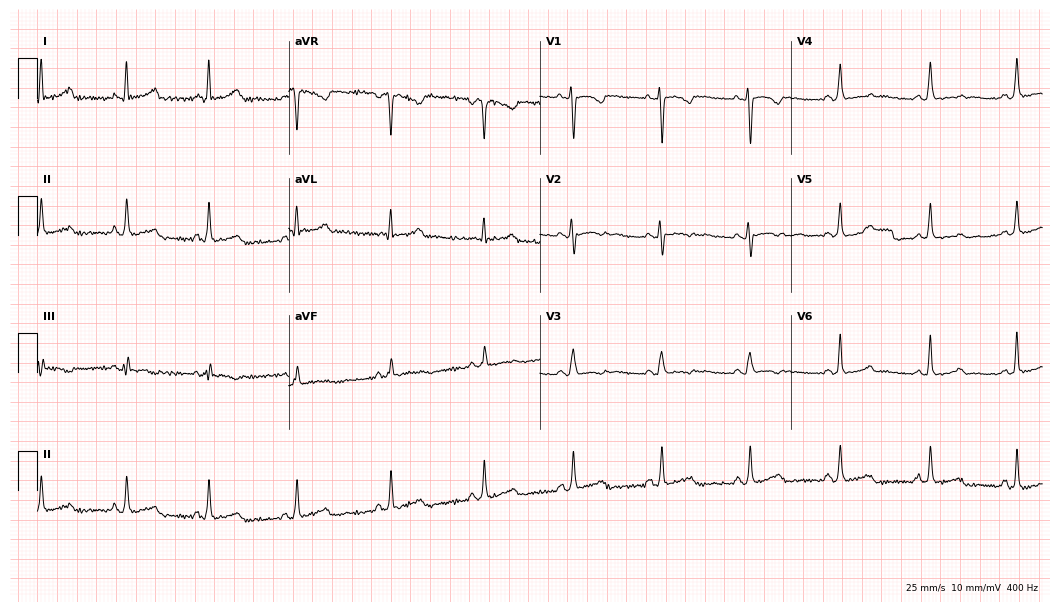
ECG — a 27-year-old female patient. Labelled as a normal ECG.